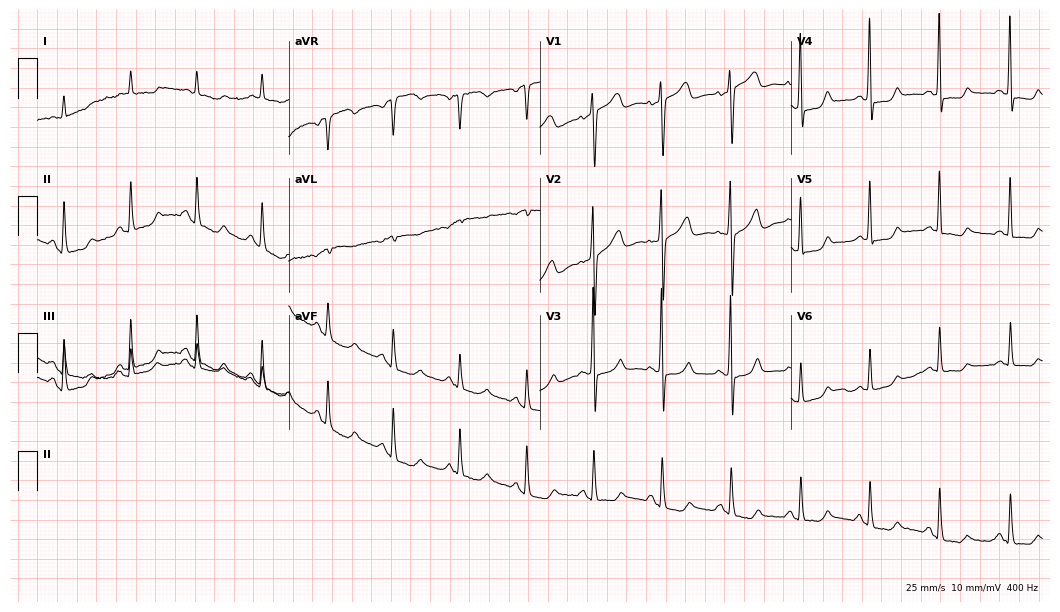
Electrocardiogram, an 85-year-old female patient. Of the six screened findings (first-degree AV block, right bundle branch block (RBBB), left bundle branch block (LBBB), sinus bradycardia, atrial fibrillation (AF), sinus tachycardia), none is recorded.